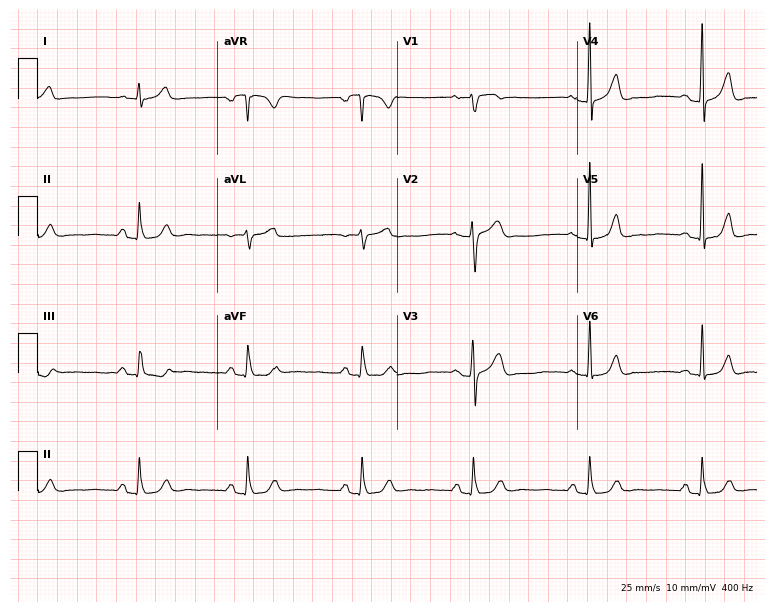
Electrocardiogram, a male patient, 30 years old. Overall reading on record: normal ECG.